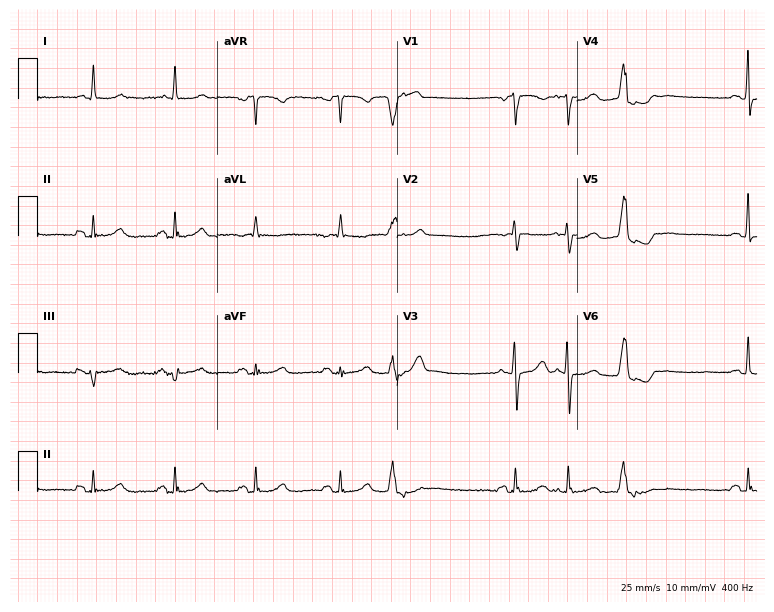
Standard 12-lead ECG recorded from an 83-year-old woman. None of these six findings is recorded: first-degree AV block, right bundle branch block (RBBB), left bundle branch block (LBBB), sinus bradycardia, atrial fibrillation (AF), sinus tachycardia. Findings outside these six are not listed.